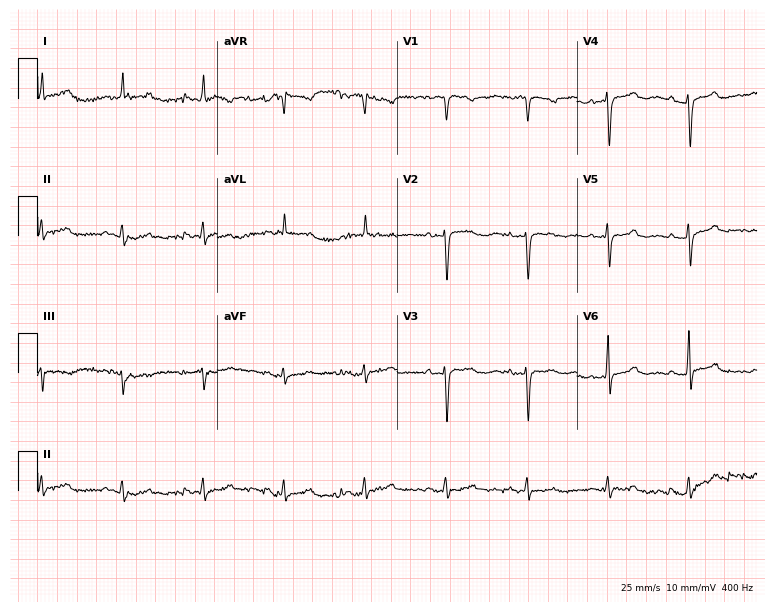
ECG (7.3-second recording at 400 Hz) — a female patient, 85 years old. Screened for six findings — first-degree AV block, right bundle branch block, left bundle branch block, sinus bradycardia, atrial fibrillation, sinus tachycardia — none is recorded. Only these six findings were labelled.